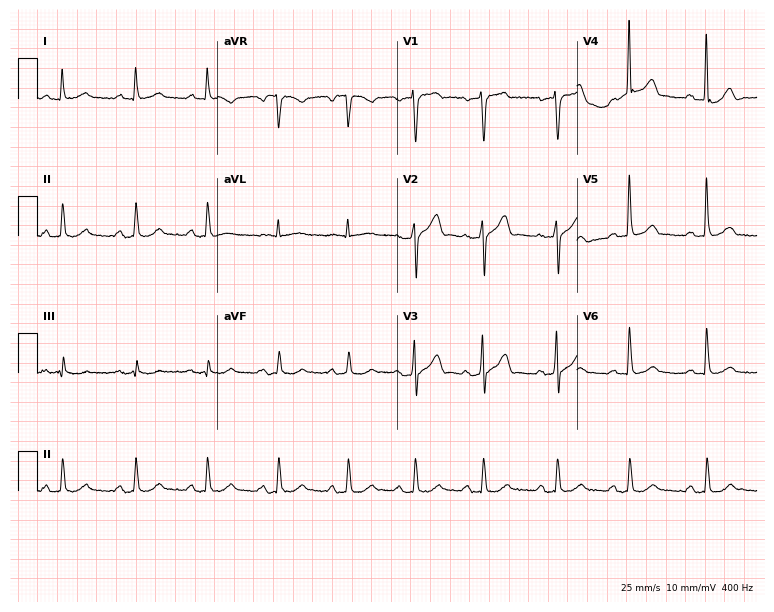
Standard 12-lead ECG recorded from an 82-year-old male. None of these six findings is recorded: first-degree AV block, right bundle branch block, left bundle branch block, sinus bradycardia, atrial fibrillation, sinus tachycardia.